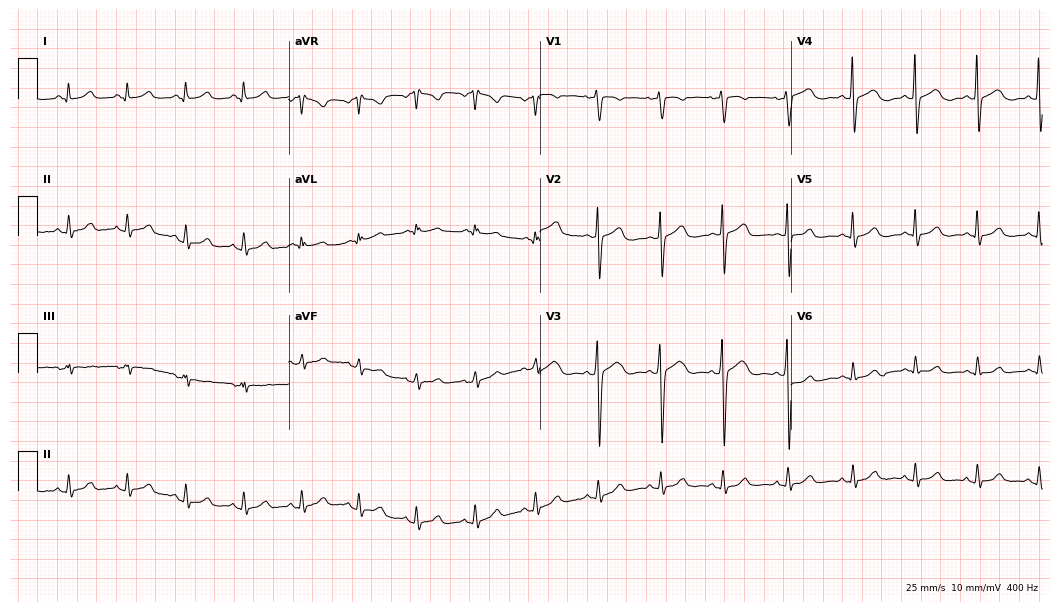
Resting 12-lead electrocardiogram. Patient: a female, 34 years old. None of these six findings is recorded: first-degree AV block, right bundle branch block, left bundle branch block, sinus bradycardia, atrial fibrillation, sinus tachycardia. Findings outside these six are not listed.